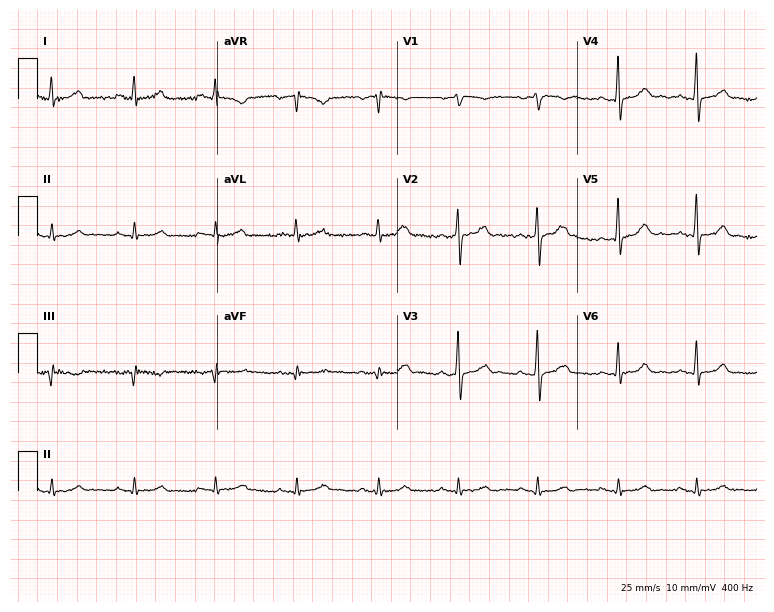
Electrocardiogram, a man, 44 years old. Overall reading on record: normal ECG.